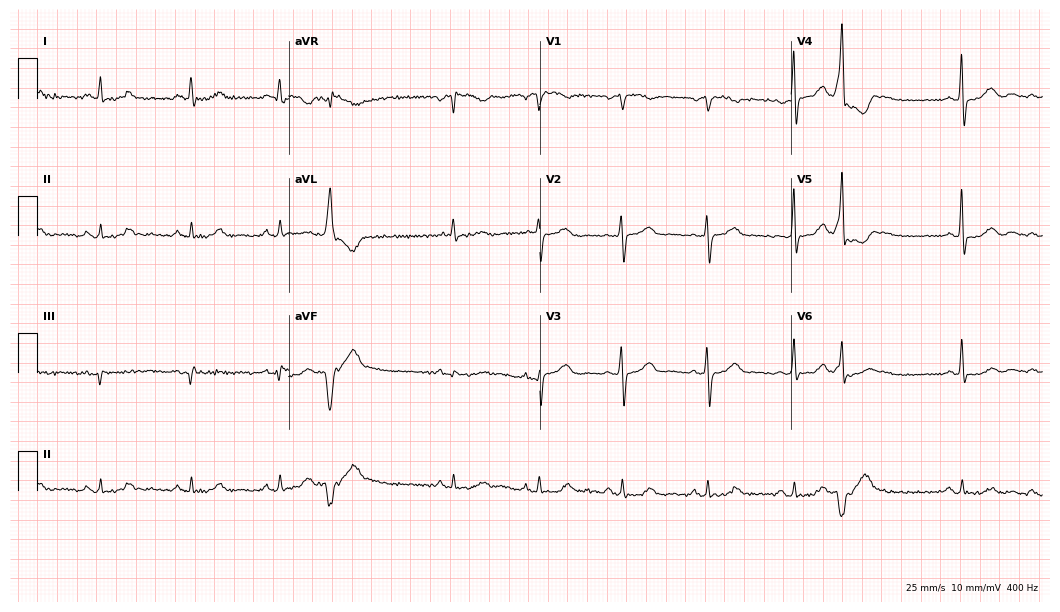
Standard 12-lead ECG recorded from a 74-year-old female. None of these six findings is recorded: first-degree AV block, right bundle branch block (RBBB), left bundle branch block (LBBB), sinus bradycardia, atrial fibrillation (AF), sinus tachycardia. Other findings, if any, are not listed.